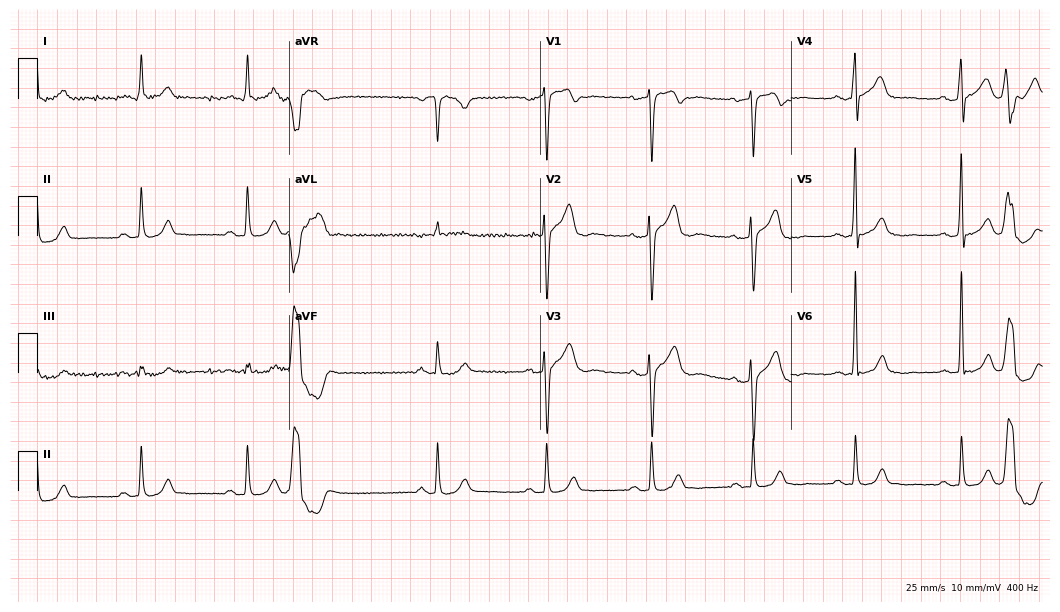
Electrocardiogram, a 60-year-old man. Of the six screened findings (first-degree AV block, right bundle branch block (RBBB), left bundle branch block (LBBB), sinus bradycardia, atrial fibrillation (AF), sinus tachycardia), none is recorded.